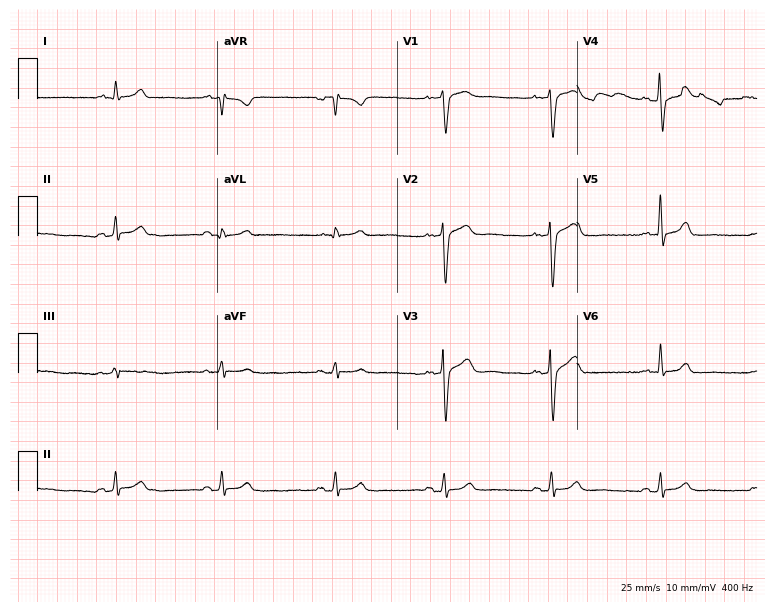
Resting 12-lead electrocardiogram (7.3-second recording at 400 Hz). Patient: a 43-year-old man. None of these six findings is recorded: first-degree AV block, right bundle branch block, left bundle branch block, sinus bradycardia, atrial fibrillation, sinus tachycardia. Other findings, if any, are not listed.